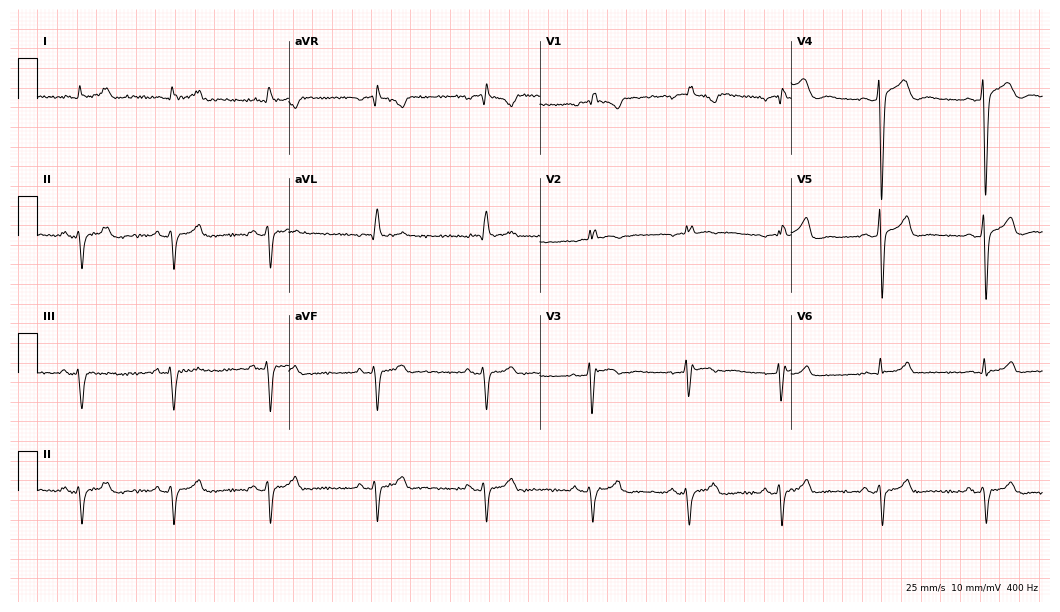
Resting 12-lead electrocardiogram (10.2-second recording at 400 Hz). Patient: a male, 36 years old. None of these six findings is recorded: first-degree AV block, right bundle branch block, left bundle branch block, sinus bradycardia, atrial fibrillation, sinus tachycardia. Findings outside these six are not listed.